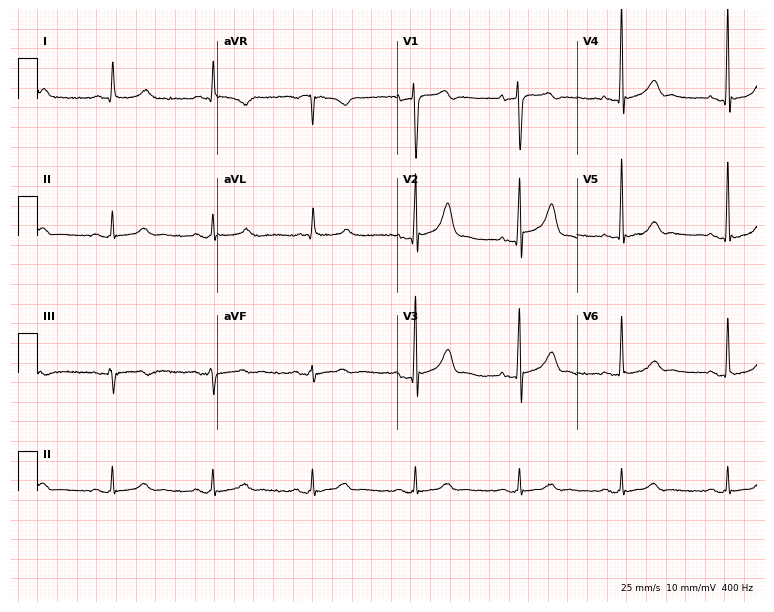
12-lead ECG from a 78-year-old male patient (7.3-second recording at 400 Hz). No first-degree AV block, right bundle branch block, left bundle branch block, sinus bradycardia, atrial fibrillation or sinus tachycardia recorded for this tracing. Other findings, if any, are not listed.